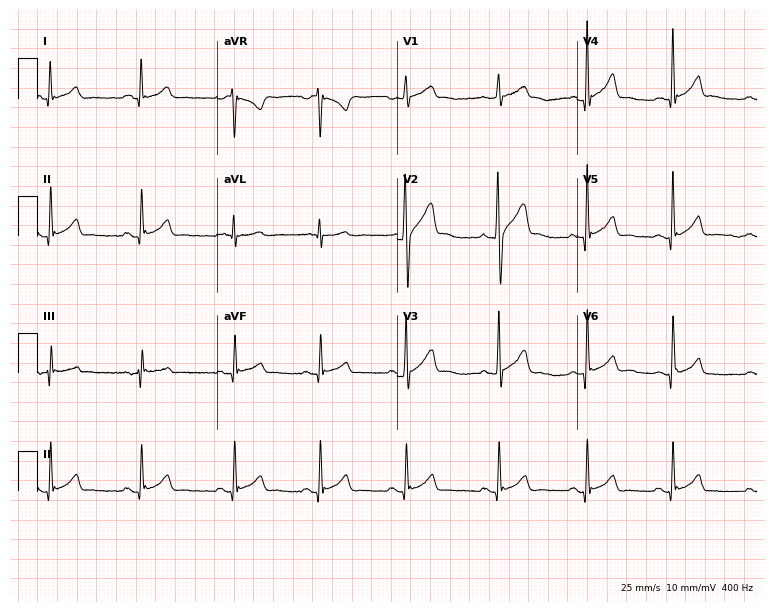
ECG — a man, 22 years old. Labelled as a normal ECG.